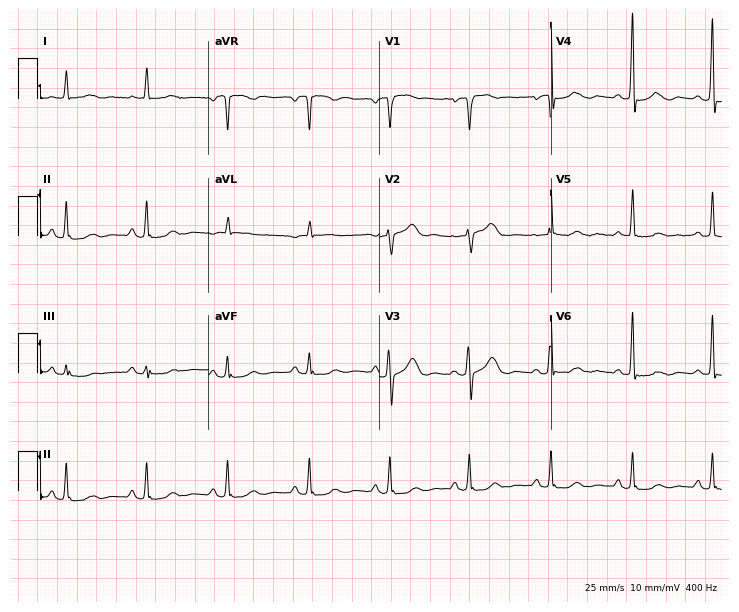
Resting 12-lead electrocardiogram. Patient: a female, 79 years old. None of these six findings is recorded: first-degree AV block, right bundle branch block, left bundle branch block, sinus bradycardia, atrial fibrillation, sinus tachycardia. Findings outside these six are not listed.